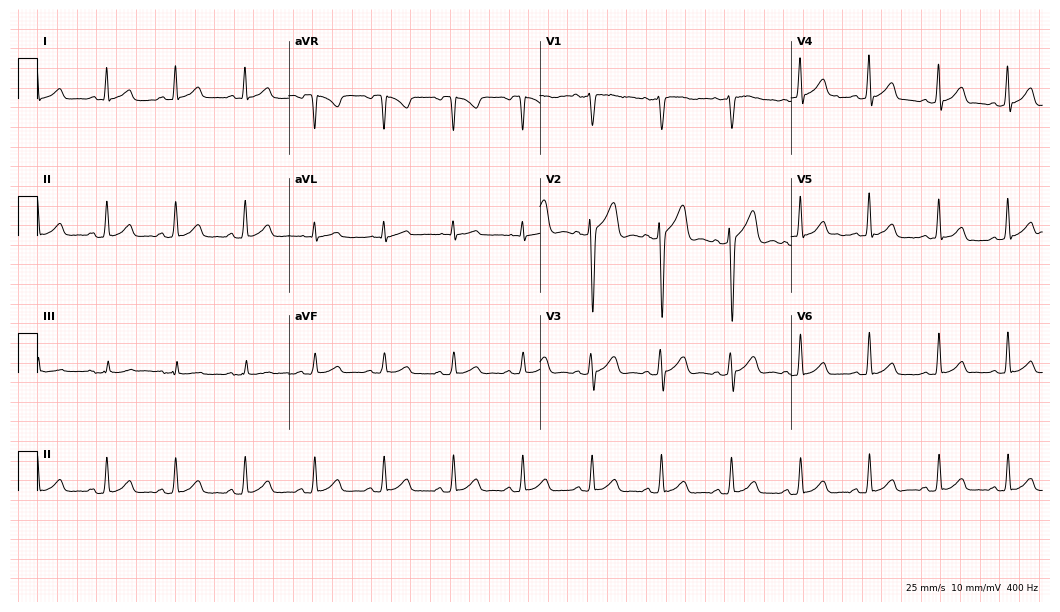
Standard 12-lead ECG recorded from a male patient, 29 years old (10.2-second recording at 400 Hz). Read as a normal ECG.